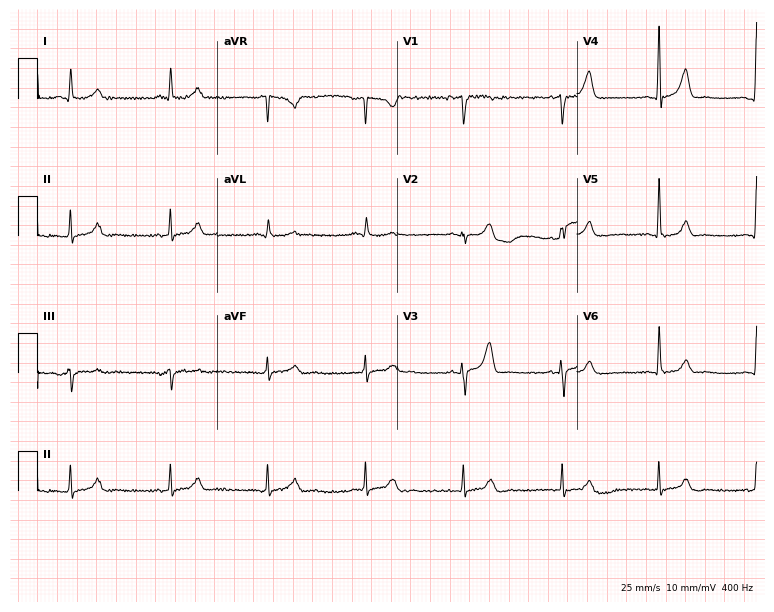
12-lead ECG (7.3-second recording at 400 Hz) from a female patient, 77 years old. Screened for six findings — first-degree AV block, right bundle branch block, left bundle branch block, sinus bradycardia, atrial fibrillation, sinus tachycardia — none is recorded.